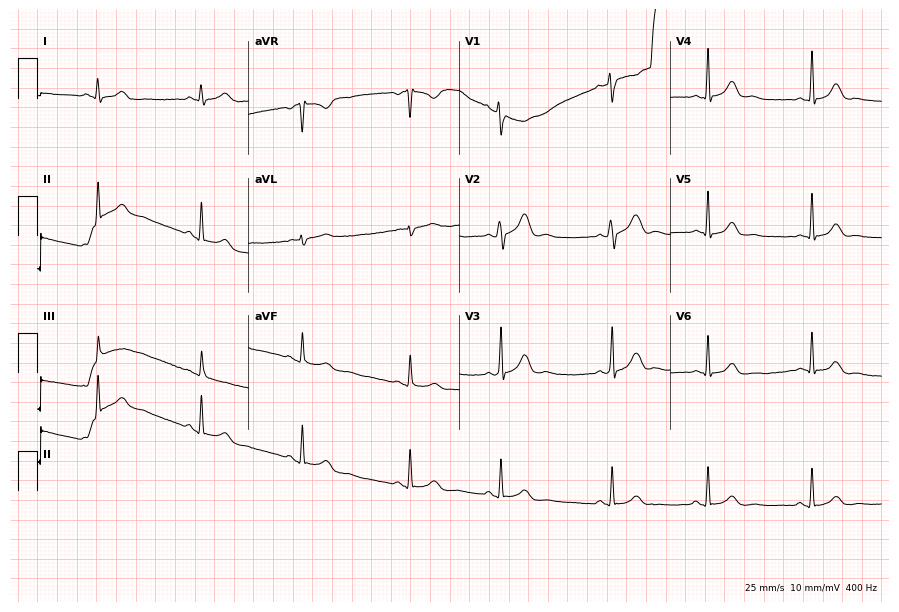
Electrocardiogram, a 24-year-old female patient. Overall reading on record: normal ECG.